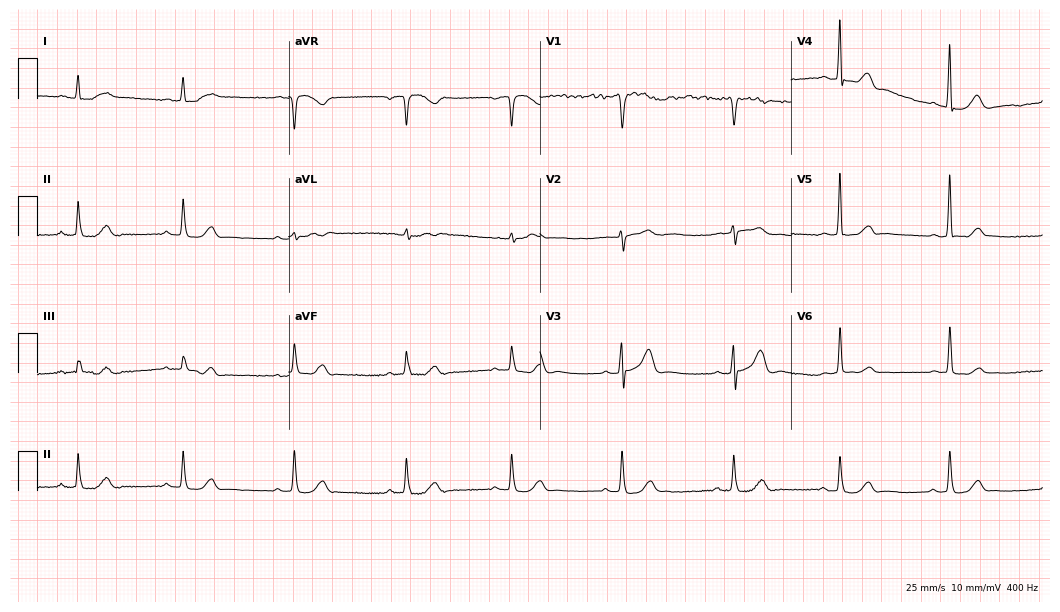
Standard 12-lead ECG recorded from an 83-year-old male patient (10.2-second recording at 400 Hz). Read as a normal ECG.